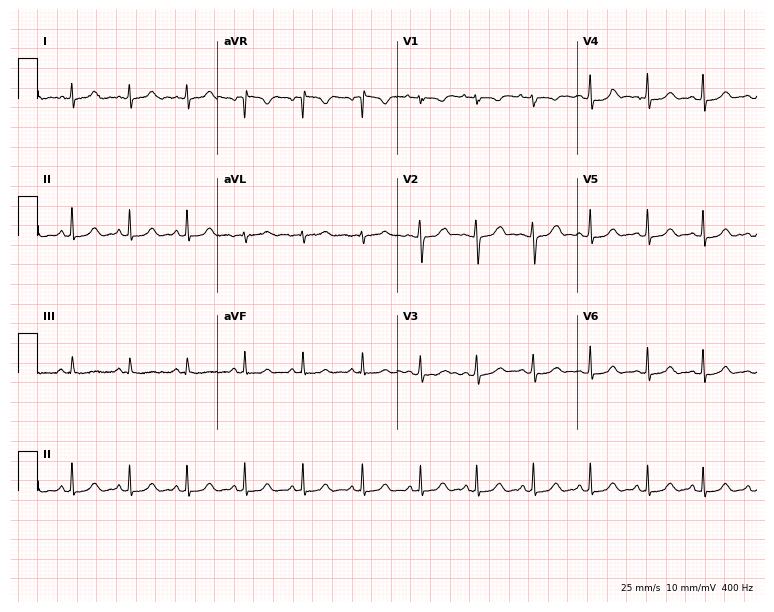
Electrocardiogram (7.3-second recording at 400 Hz), a female, 18 years old. Interpretation includes sinus tachycardia (a sinus rate of 100 beats per minute or more).